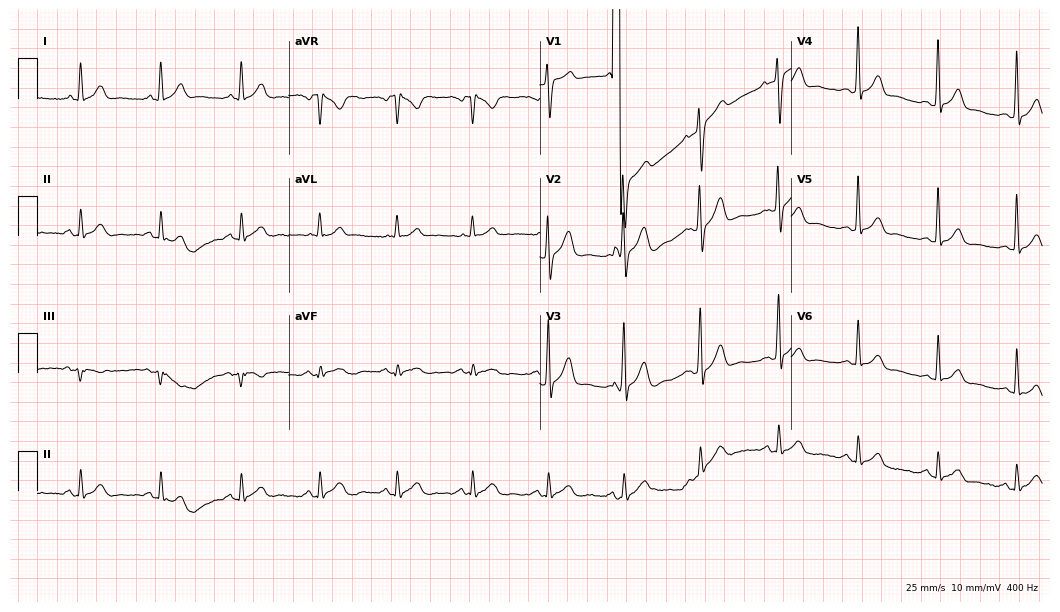
ECG — a male, 32 years old. Labelled as a normal ECG.